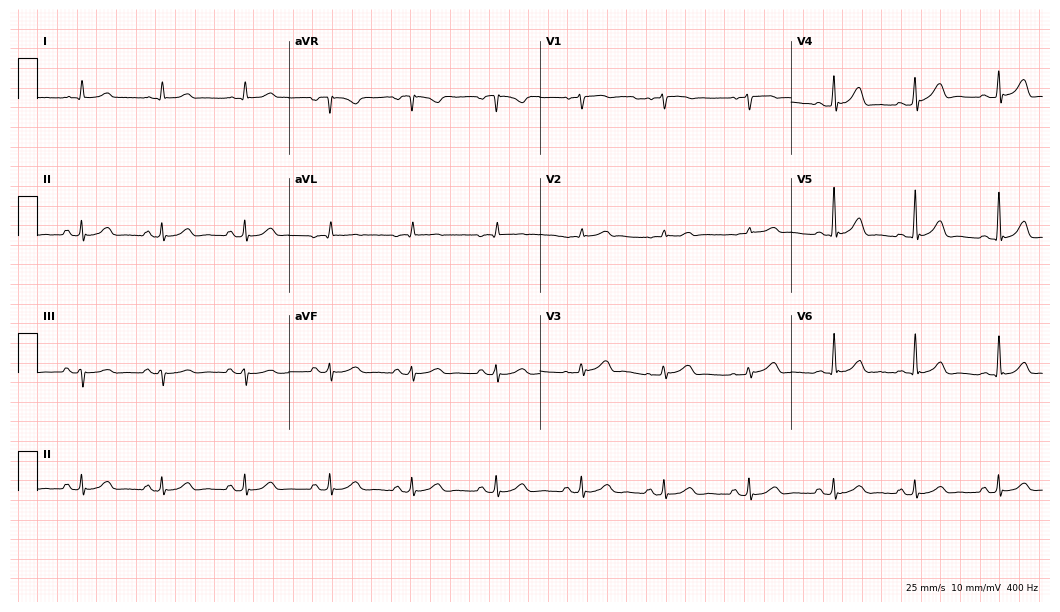
12-lead ECG (10.2-second recording at 400 Hz) from a 59-year-old male patient. Labelled as a normal ECG.